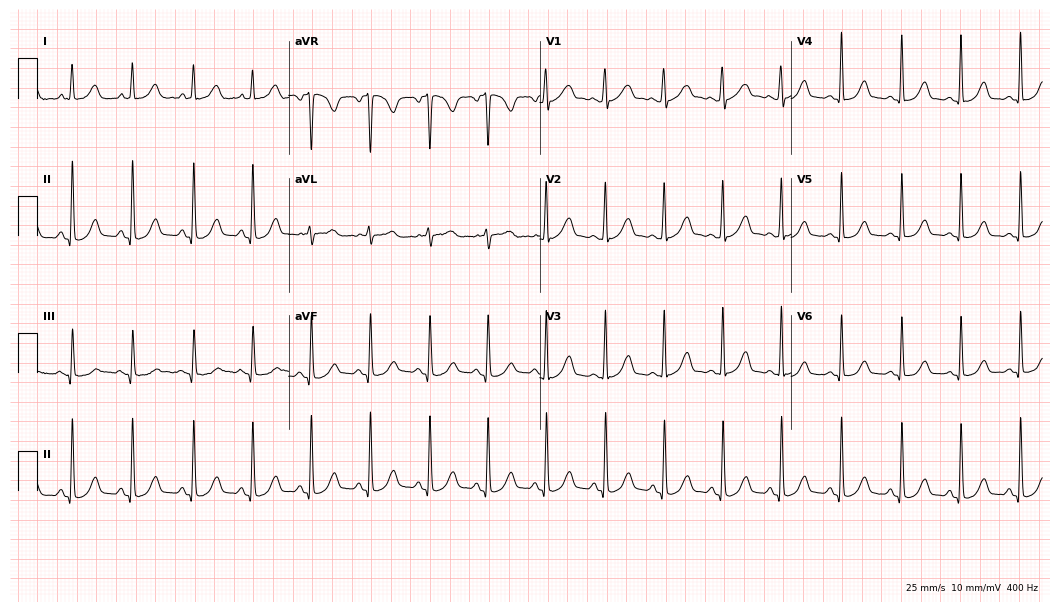
ECG — a female patient, 26 years old. Labelled as a normal ECG.